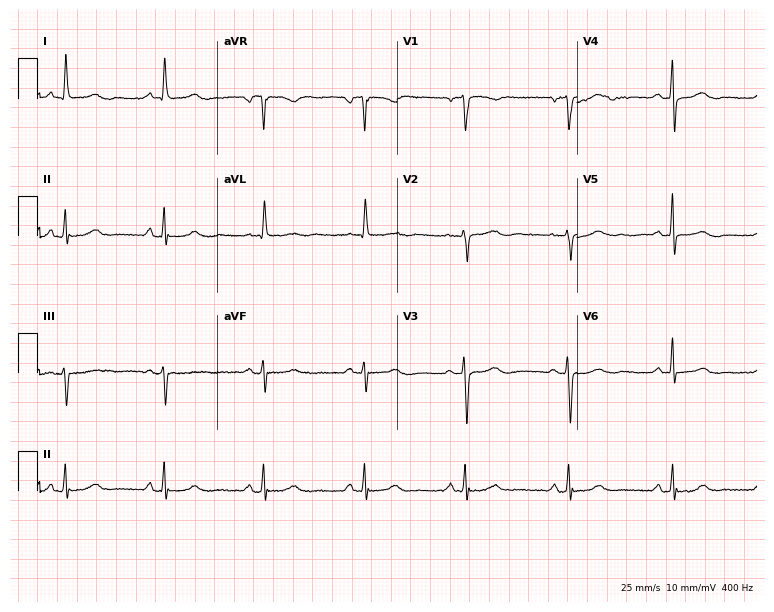
Resting 12-lead electrocardiogram (7.3-second recording at 400 Hz). Patient: a 76-year-old female. Read as a normal ECG.